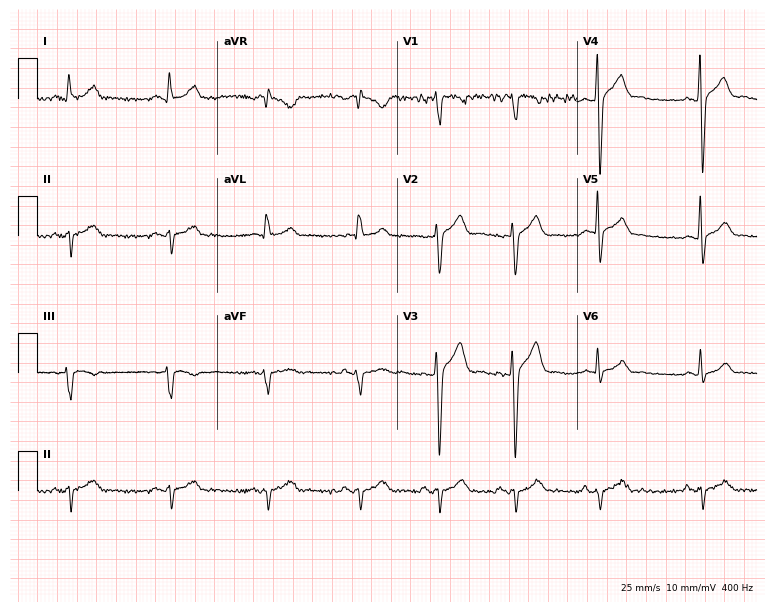
Electrocardiogram (7.3-second recording at 400 Hz), a 48-year-old man. Of the six screened findings (first-degree AV block, right bundle branch block, left bundle branch block, sinus bradycardia, atrial fibrillation, sinus tachycardia), none is recorded. Other findings, if any, are not listed.